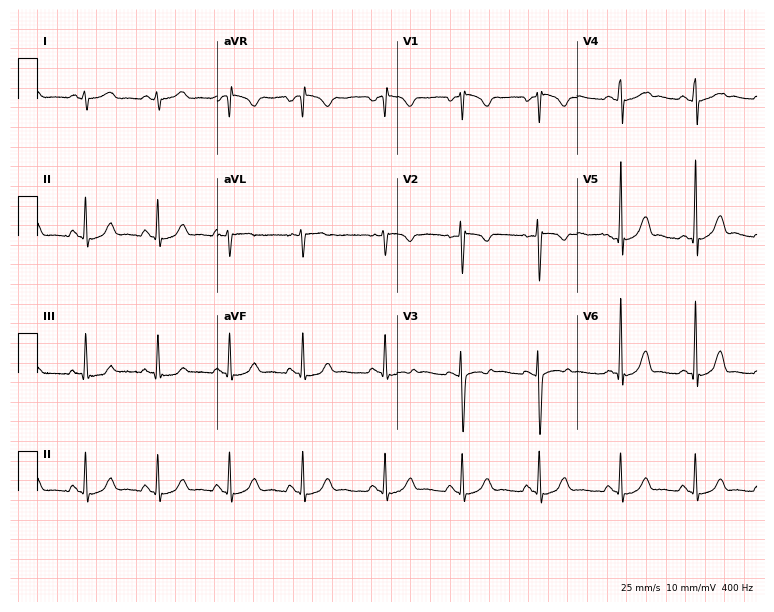
12-lead ECG from a woman, 18 years old. Labelled as a normal ECG.